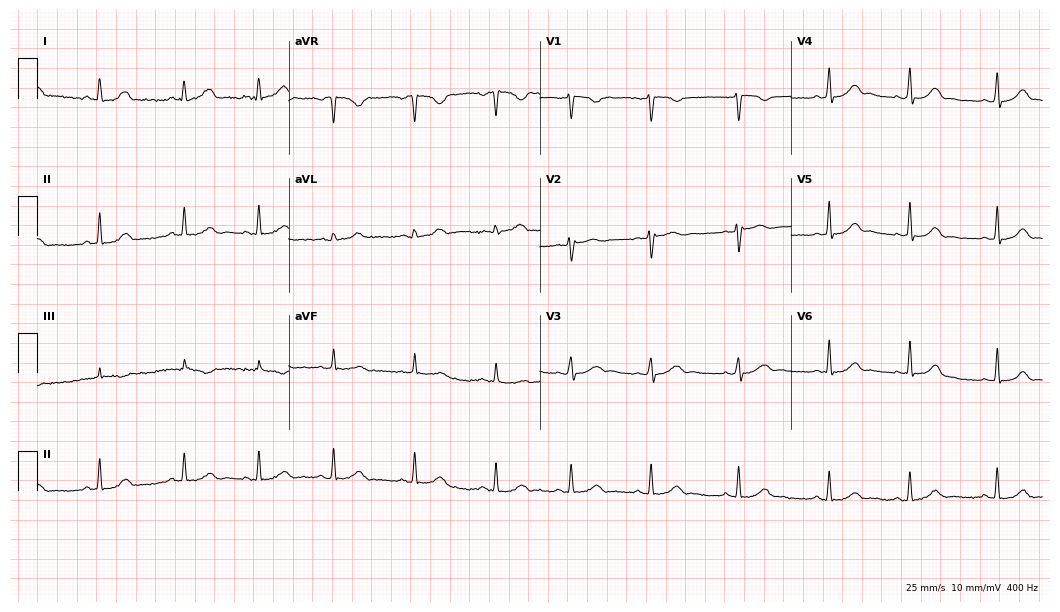
ECG — a 25-year-old female patient. Labelled as a normal ECG.